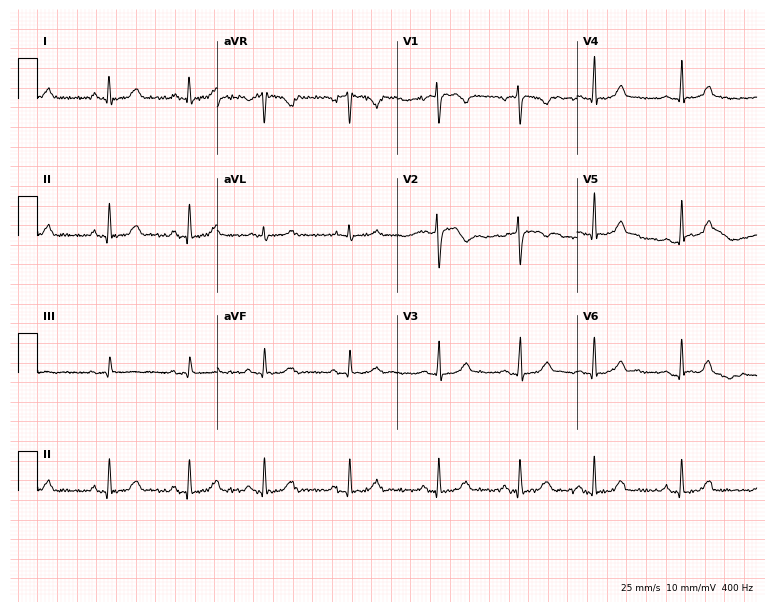
Standard 12-lead ECG recorded from a female, 33 years old. Read as a normal ECG.